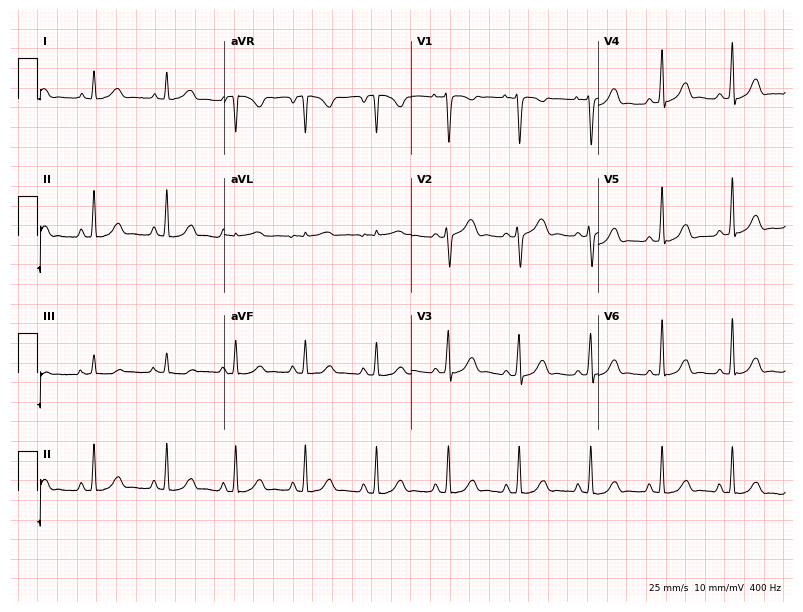
12-lead ECG from a 21-year-old female patient (7.6-second recording at 400 Hz). No first-degree AV block, right bundle branch block (RBBB), left bundle branch block (LBBB), sinus bradycardia, atrial fibrillation (AF) or sinus tachycardia recorded for this tracing.